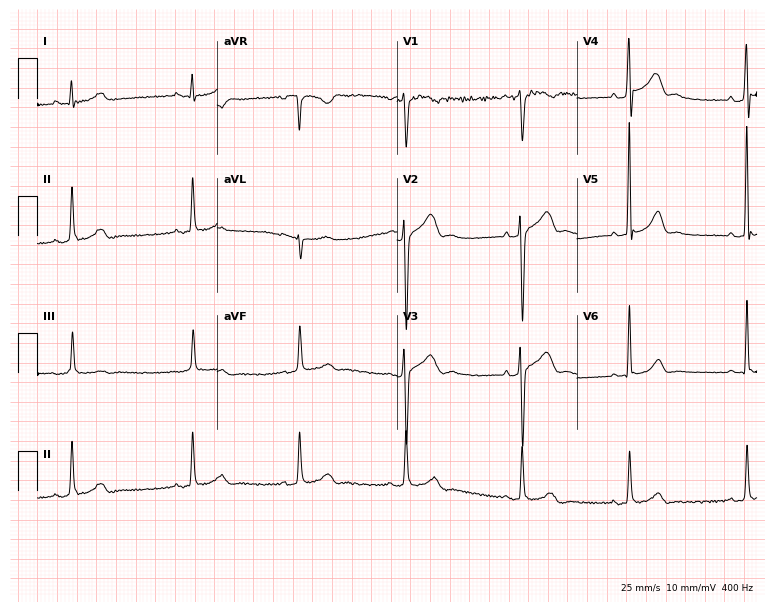
12-lead ECG from a male patient, 29 years old (7.3-second recording at 400 Hz). No first-degree AV block, right bundle branch block, left bundle branch block, sinus bradycardia, atrial fibrillation or sinus tachycardia recorded for this tracing. Only these six findings were labelled.